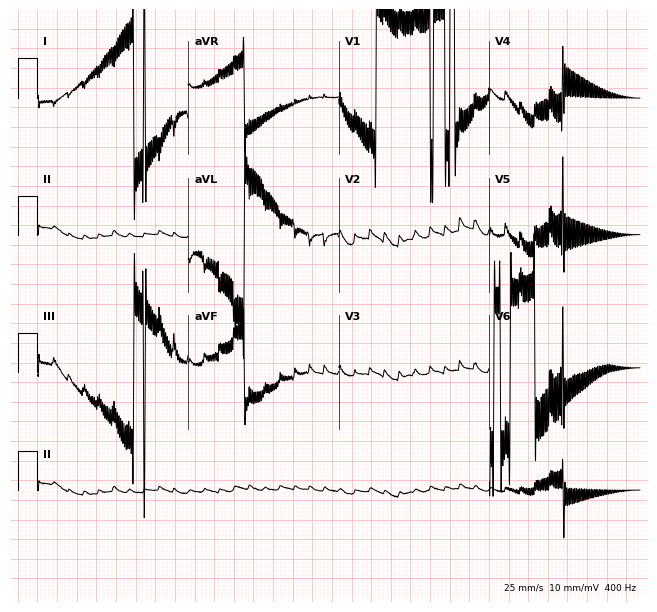
Resting 12-lead electrocardiogram. Patient: a 58-year-old male. None of these six findings is recorded: first-degree AV block, right bundle branch block, left bundle branch block, sinus bradycardia, atrial fibrillation, sinus tachycardia.